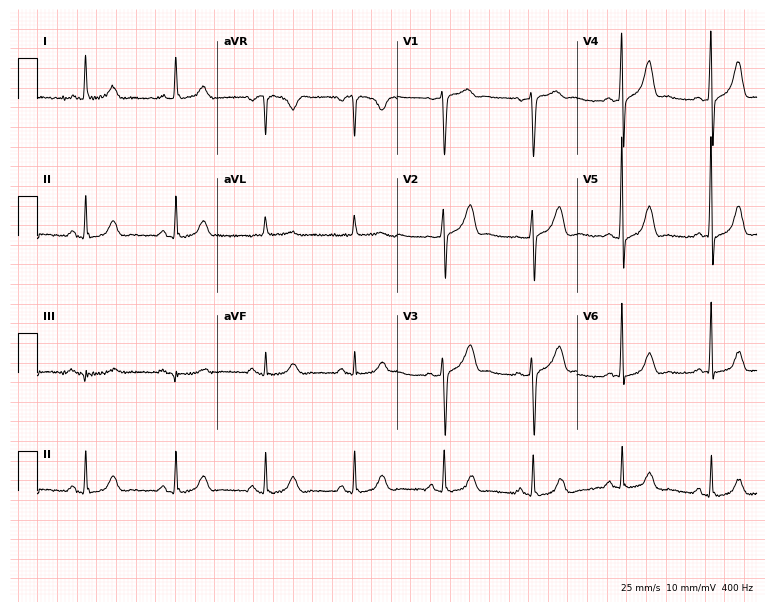
Resting 12-lead electrocardiogram. Patient: a 56-year-old female. Read as a normal ECG.